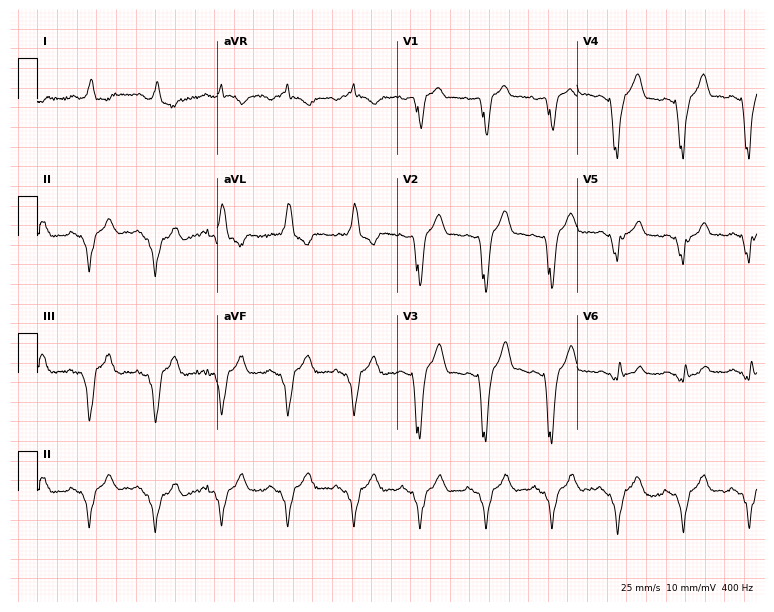
12-lead ECG from an 80-year-old male patient. Screened for six findings — first-degree AV block, right bundle branch block, left bundle branch block, sinus bradycardia, atrial fibrillation, sinus tachycardia — none is recorded. Only these six findings were labelled.